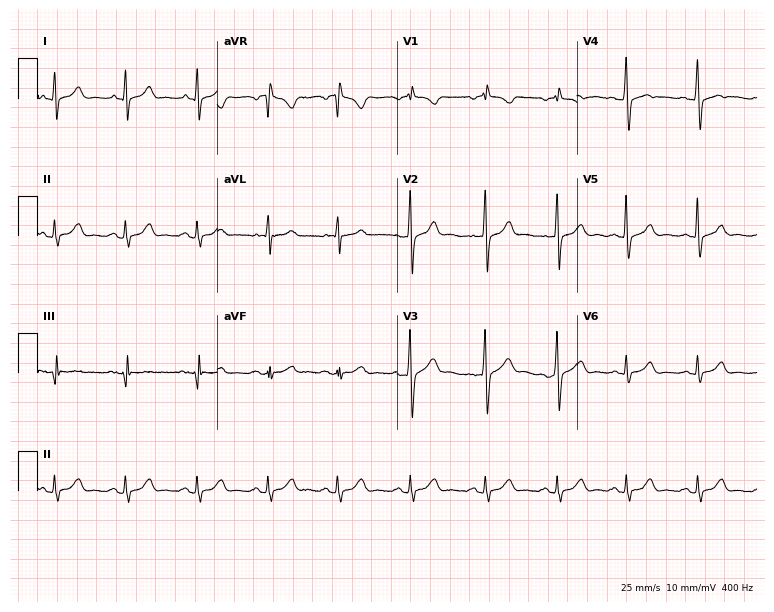
12-lead ECG from a female, 39 years old. Screened for six findings — first-degree AV block, right bundle branch block, left bundle branch block, sinus bradycardia, atrial fibrillation, sinus tachycardia — none is recorded. Findings outside these six are not listed.